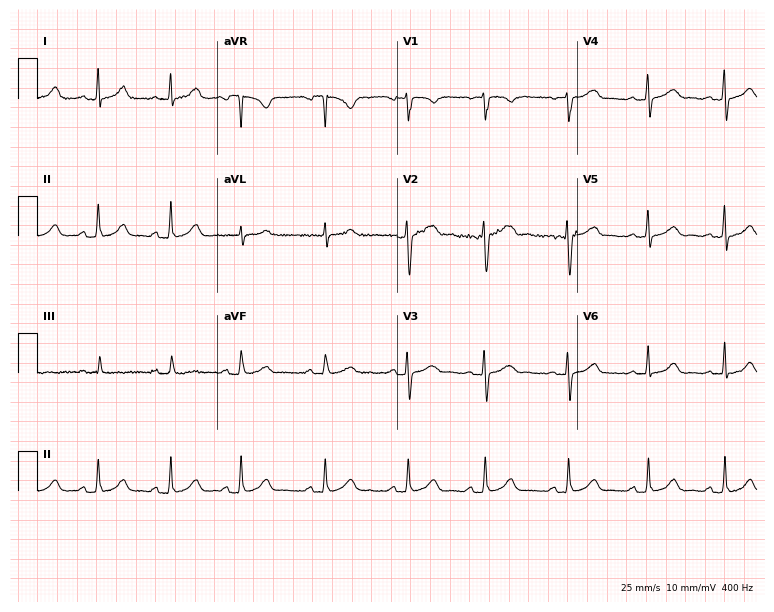
12-lead ECG from a female patient, 27 years old. Labelled as a normal ECG.